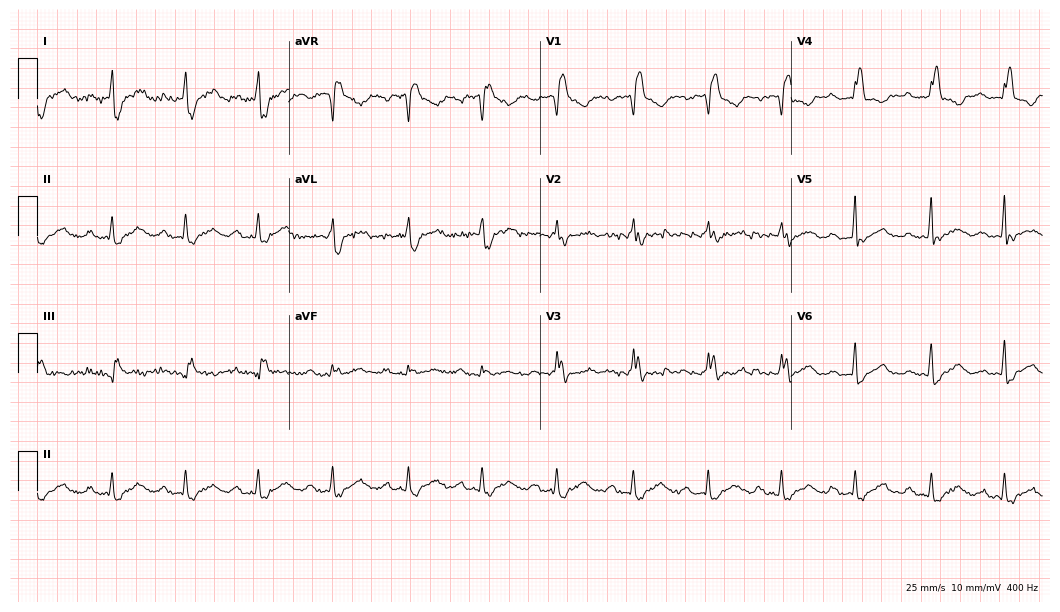
Standard 12-lead ECG recorded from a 66-year-old woman. The tracing shows first-degree AV block, right bundle branch block (RBBB).